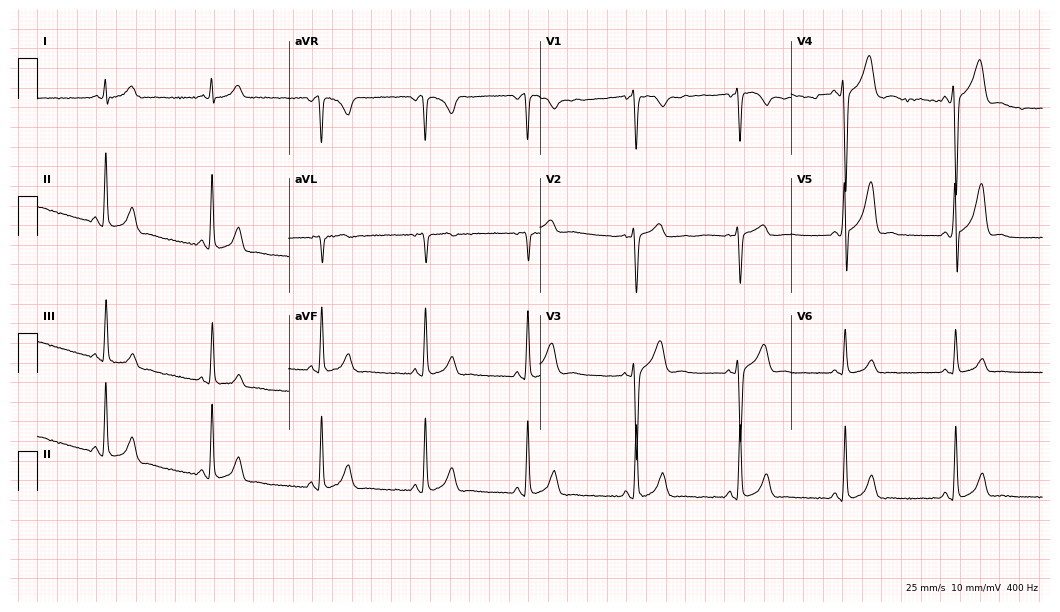
ECG — a male, 33 years old. Screened for six findings — first-degree AV block, right bundle branch block, left bundle branch block, sinus bradycardia, atrial fibrillation, sinus tachycardia — none is recorded. Findings outside these six are not listed.